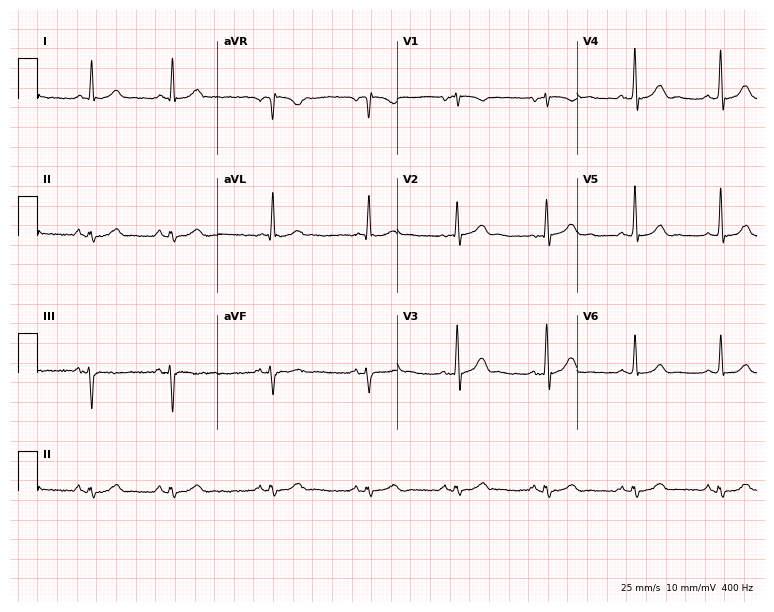
ECG (7.3-second recording at 400 Hz) — a male patient, 60 years old. Screened for six findings — first-degree AV block, right bundle branch block, left bundle branch block, sinus bradycardia, atrial fibrillation, sinus tachycardia — none is recorded.